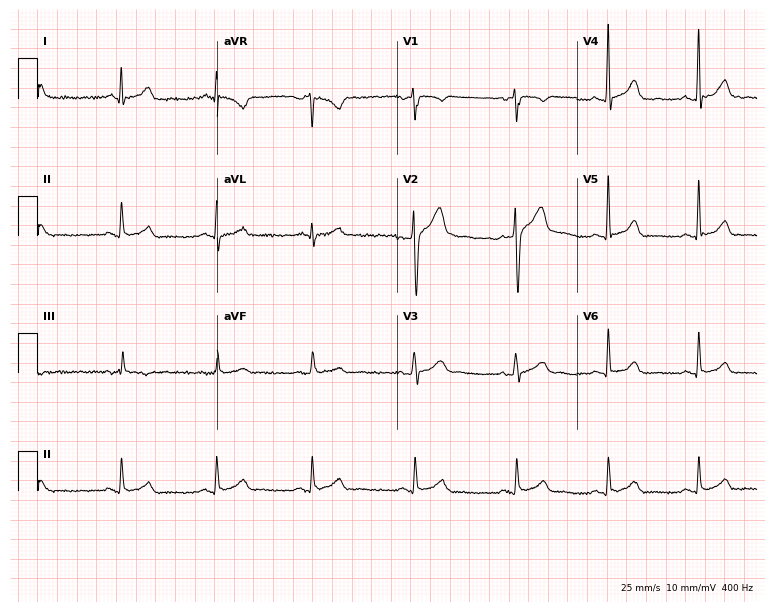
ECG (7.3-second recording at 400 Hz) — a man, 38 years old. Labelled as a normal ECG.